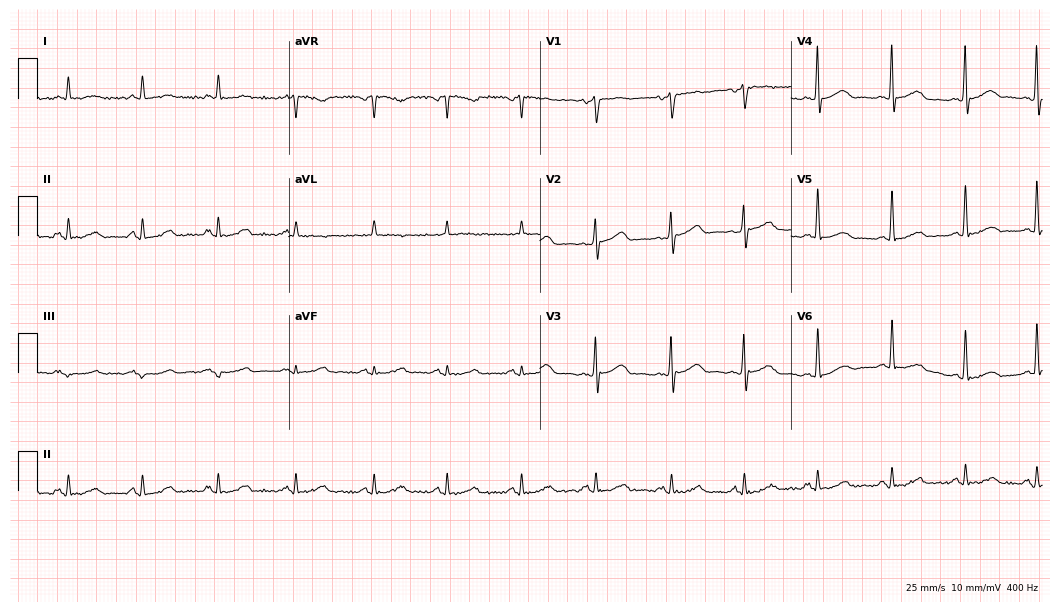
Electrocardiogram (10.2-second recording at 400 Hz), a male, 61 years old. Overall reading on record: normal ECG.